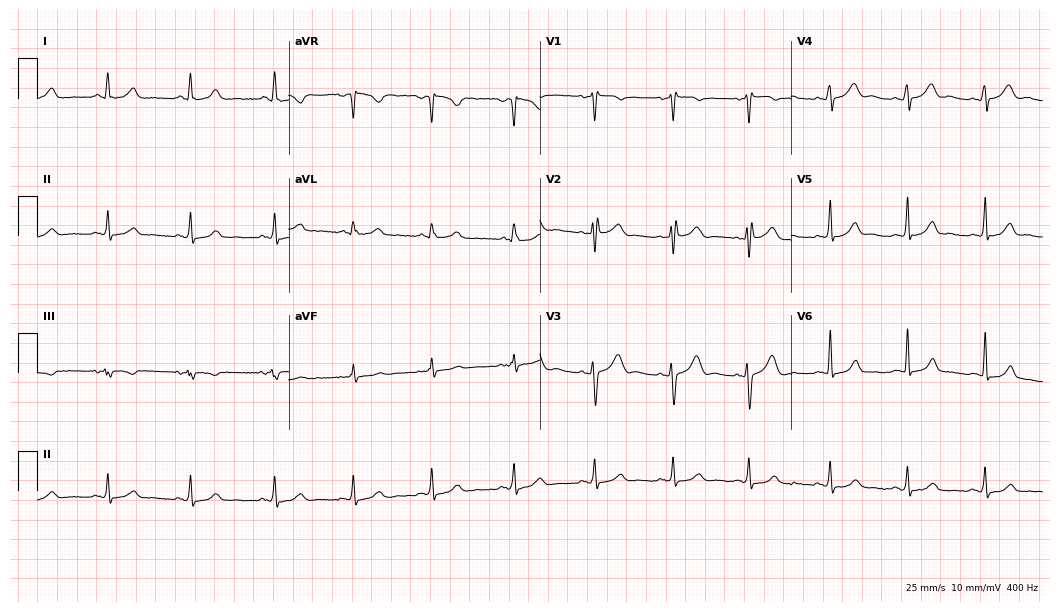
Resting 12-lead electrocardiogram. Patient: a female, 27 years old. None of these six findings is recorded: first-degree AV block, right bundle branch block, left bundle branch block, sinus bradycardia, atrial fibrillation, sinus tachycardia.